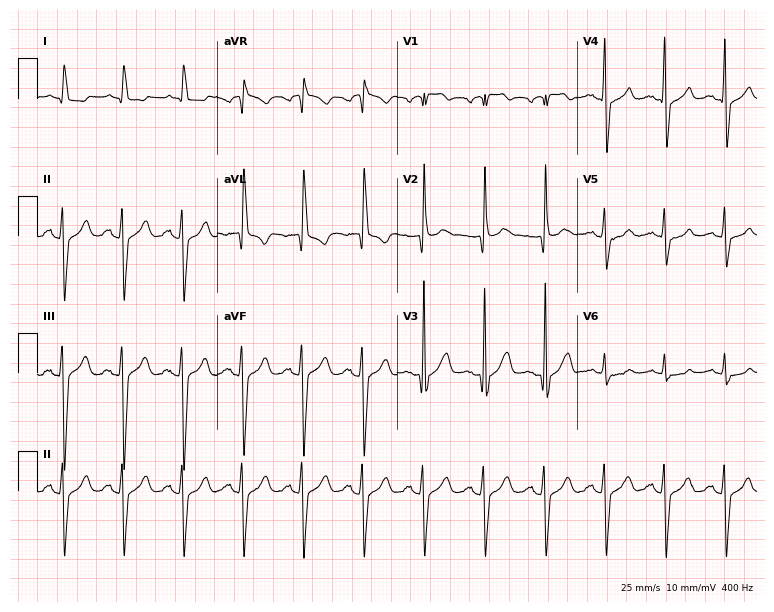
12-lead ECG from a male, 78 years old. Screened for six findings — first-degree AV block, right bundle branch block, left bundle branch block, sinus bradycardia, atrial fibrillation, sinus tachycardia — none is recorded.